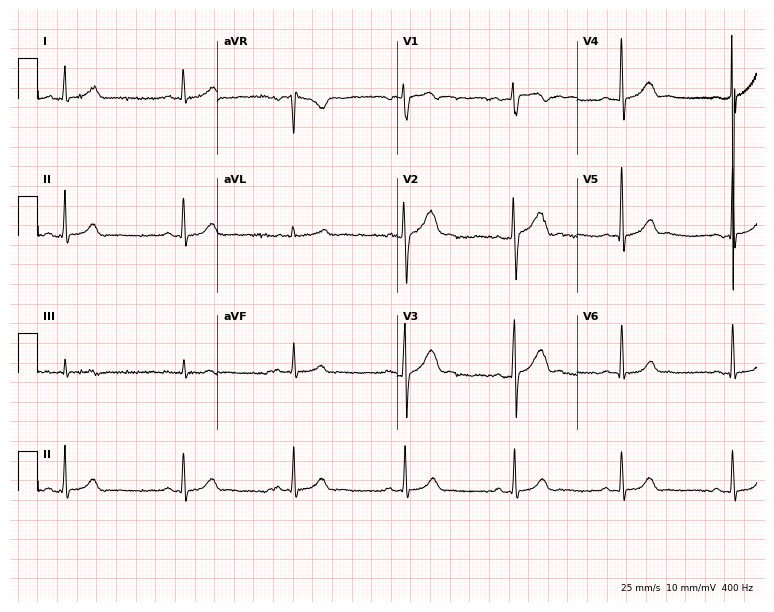
ECG (7.3-second recording at 400 Hz) — a man, 29 years old. Screened for six findings — first-degree AV block, right bundle branch block, left bundle branch block, sinus bradycardia, atrial fibrillation, sinus tachycardia — none is recorded.